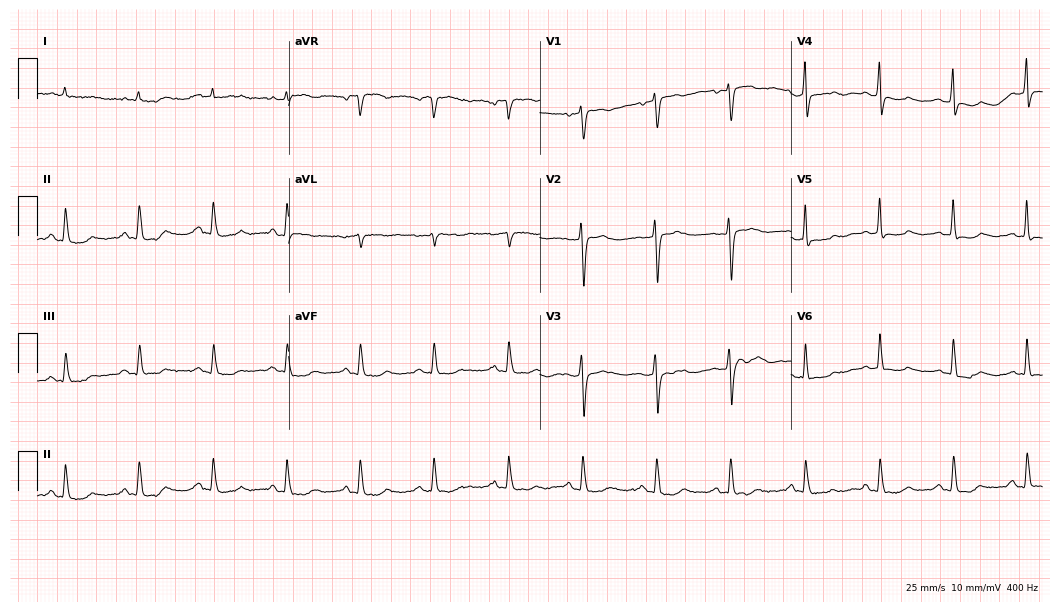
12-lead ECG from a female patient, 67 years old. Screened for six findings — first-degree AV block, right bundle branch block, left bundle branch block, sinus bradycardia, atrial fibrillation, sinus tachycardia — none is recorded. Other findings, if any, are not listed.